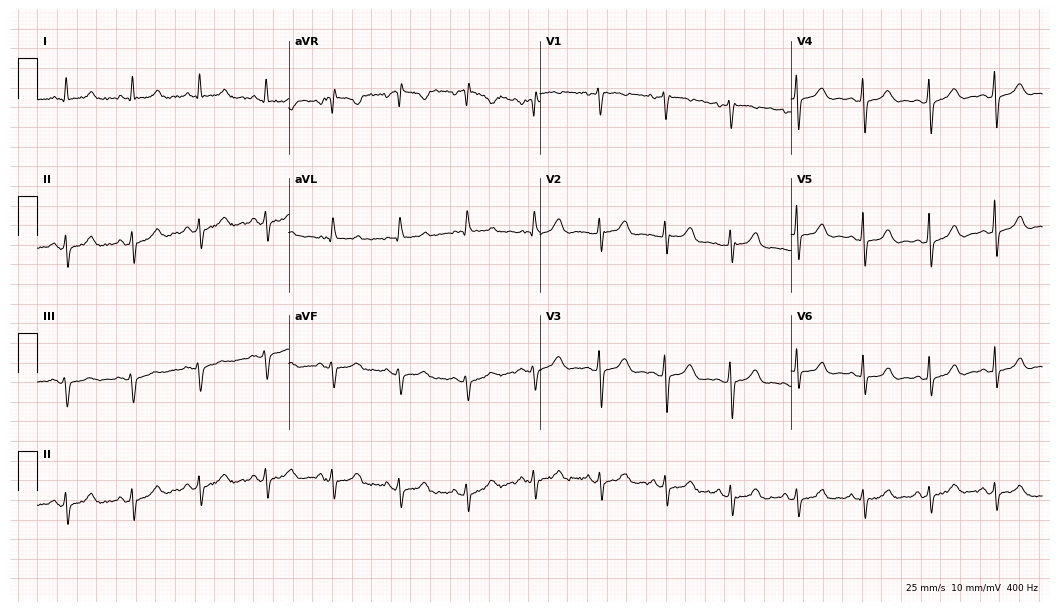
Resting 12-lead electrocardiogram. Patient: a woman, 61 years old. None of these six findings is recorded: first-degree AV block, right bundle branch block, left bundle branch block, sinus bradycardia, atrial fibrillation, sinus tachycardia.